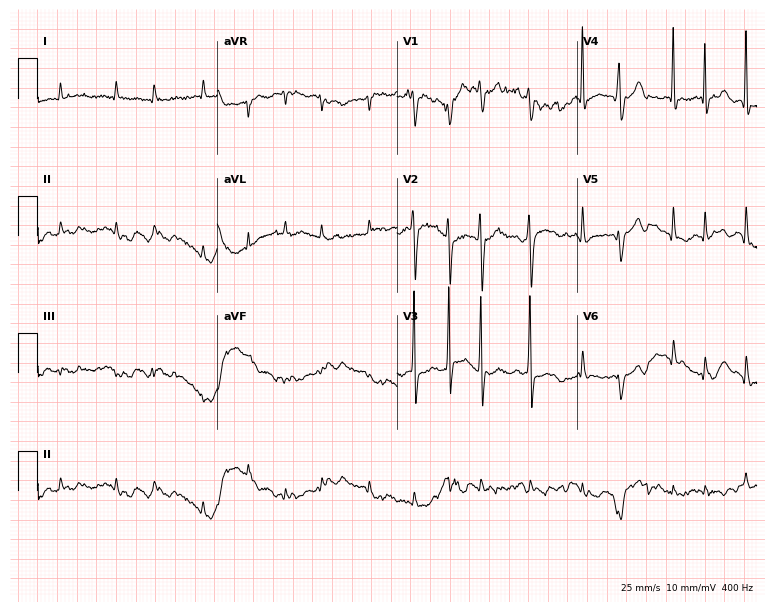
Standard 12-lead ECG recorded from an 83-year-old woman (7.3-second recording at 400 Hz). The tracing shows atrial fibrillation (AF).